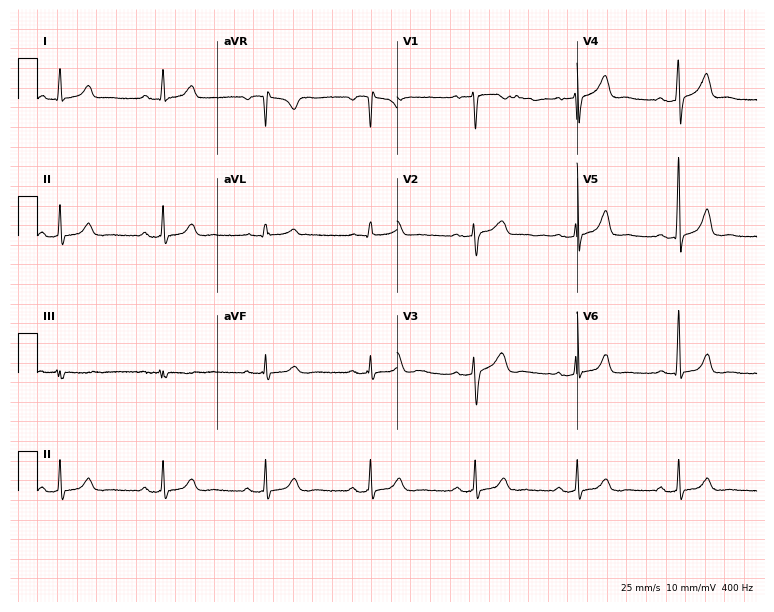
12-lead ECG from a female patient, 47 years old (7.3-second recording at 400 Hz). Recorded interpretation: within normal limits.